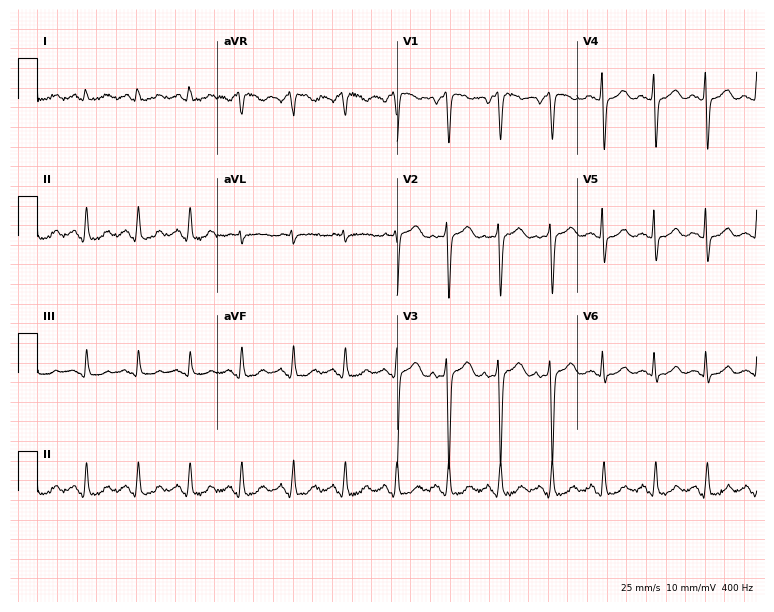
12-lead ECG from a female, 57 years old. Findings include sinus tachycardia (a sinus rate of 100 beats per minute or more).